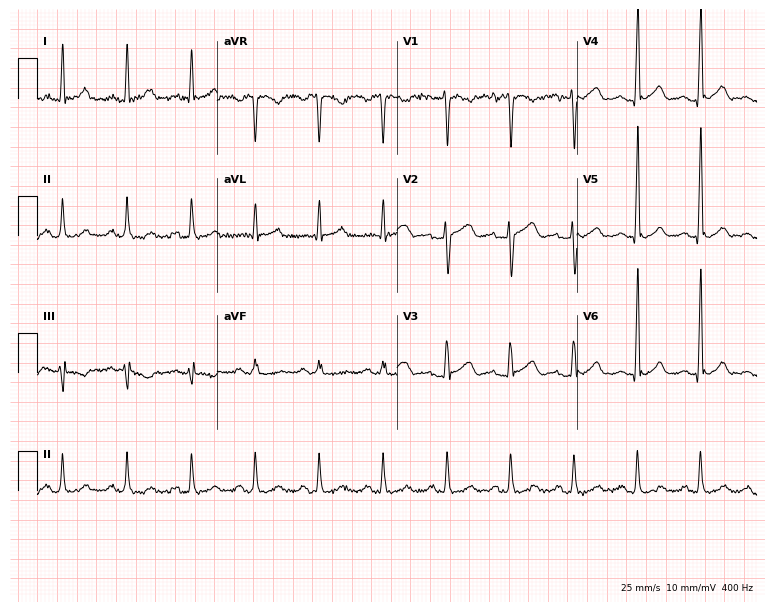
Electrocardiogram (7.3-second recording at 400 Hz), a 51-year-old male. Of the six screened findings (first-degree AV block, right bundle branch block, left bundle branch block, sinus bradycardia, atrial fibrillation, sinus tachycardia), none is recorded.